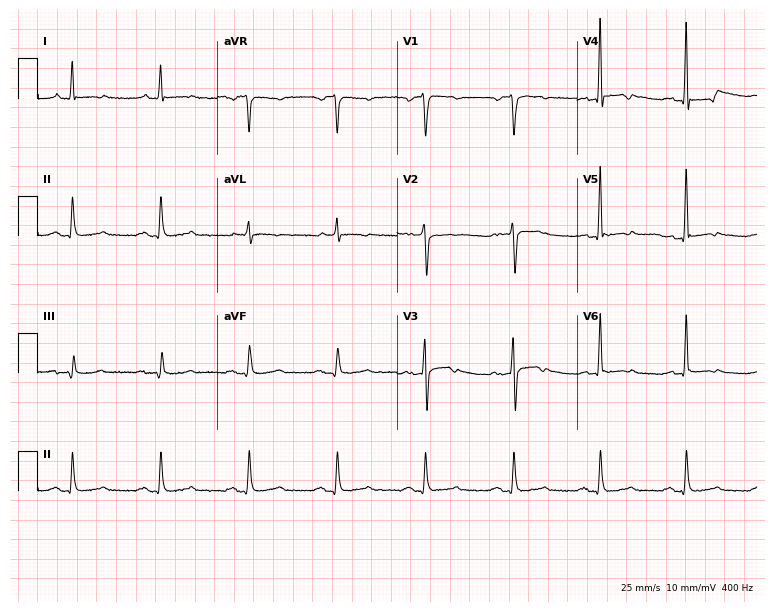
ECG (7.3-second recording at 400 Hz) — a 60-year-old man. Screened for six findings — first-degree AV block, right bundle branch block, left bundle branch block, sinus bradycardia, atrial fibrillation, sinus tachycardia — none is recorded.